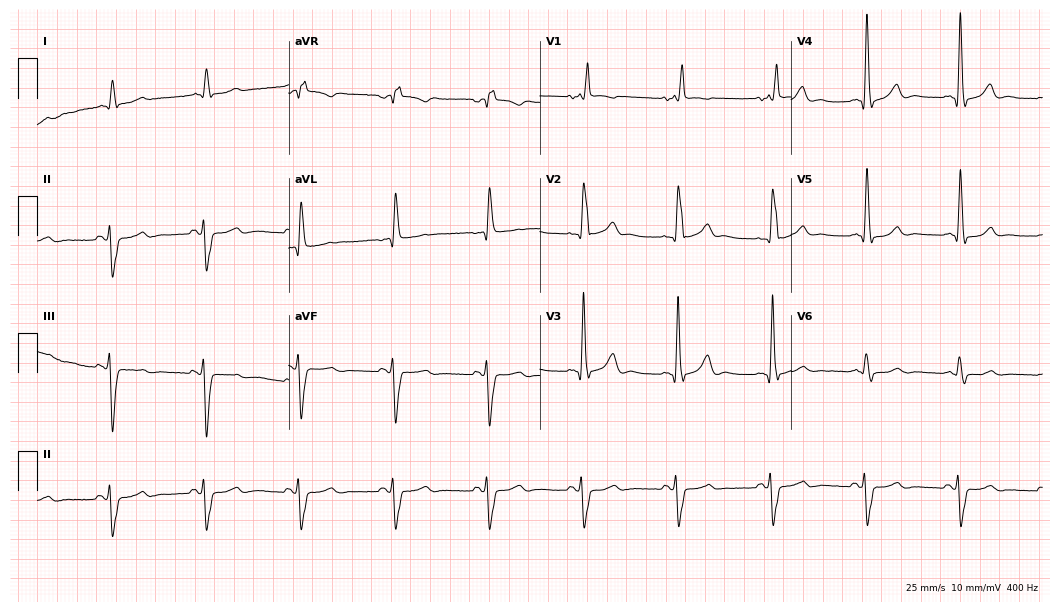
Electrocardiogram, a male patient, 72 years old. Interpretation includes right bundle branch block.